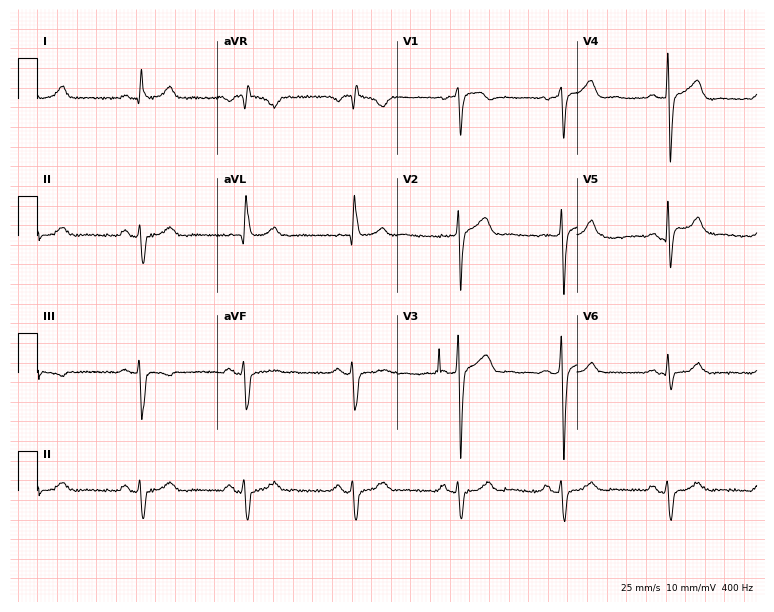
12-lead ECG from an 82-year-old man. Screened for six findings — first-degree AV block, right bundle branch block, left bundle branch block, sinus bradycardia, atrial fibrillation, sinus tachycardia — none is recorded.